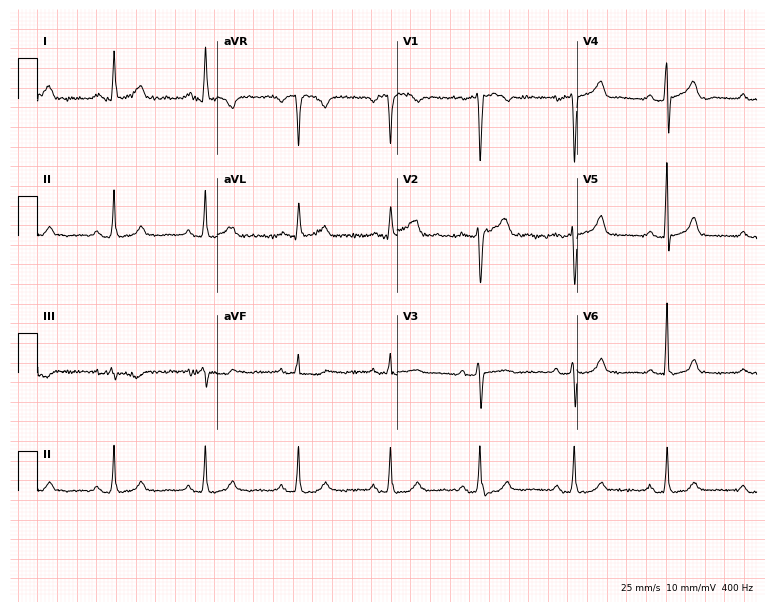
12-lead ECG (7.3-second recording at 400 Hz) from a woman, 64 years old. Screened for six findings — first-degree AV block, right bundle branch block, left bundle branch block, sinus bradycardia, atrial fibrillation, sinus tachycardia — none is recorded.